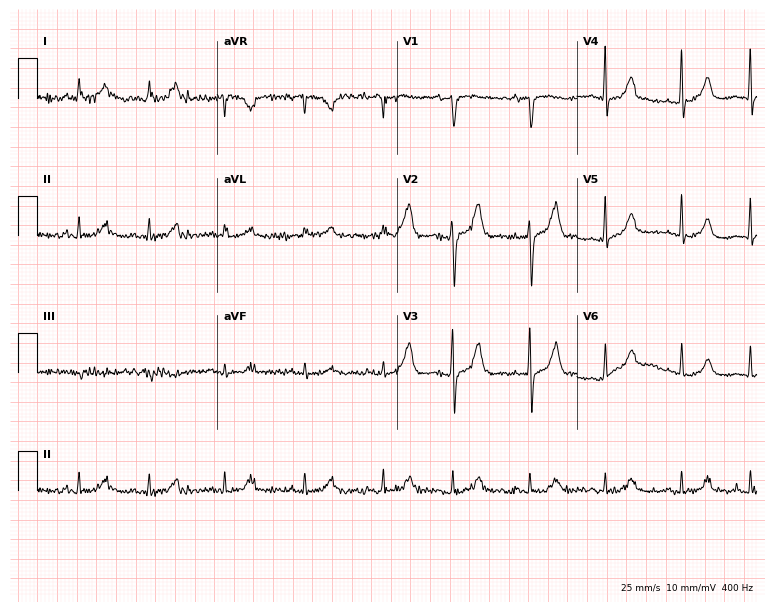
12-lead ECG from an 82-year-old woman. Labelled as a normal ECG.